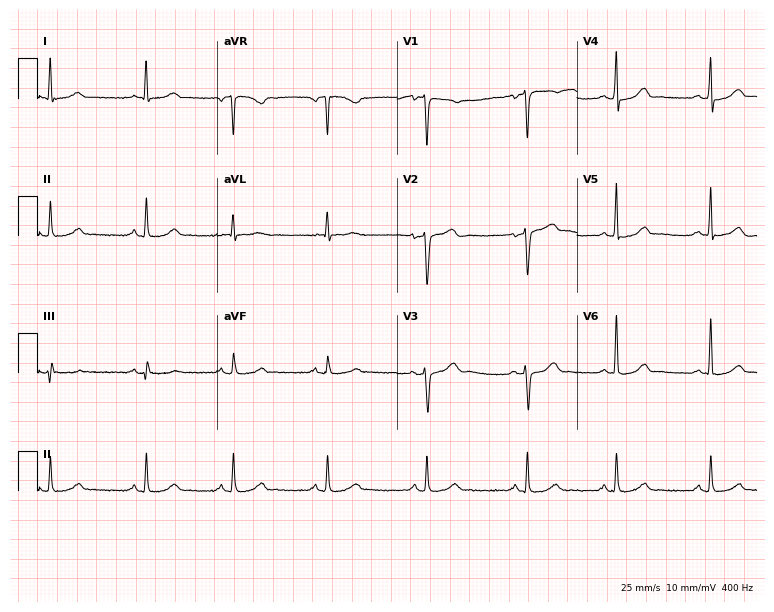
ECG — a female patient, 59 years old. Labelled as a normal ECG.